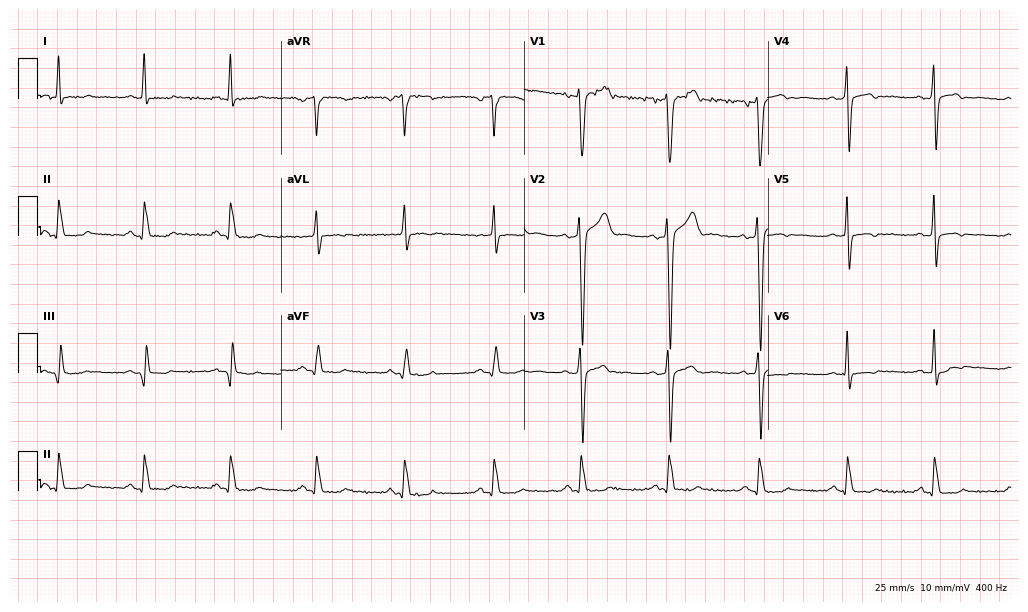
ECG (9.9-second recording at 400 Hz) — a man, 37 years old. Screened for six findings — first-degree AV block, right bundle branch block (RBBB), left bundle branch block (LBBB), sinus bradycardia, atrial fibrillation (AF), sinus tachycardia — none is recorded. Other findings, if any, are not listed.